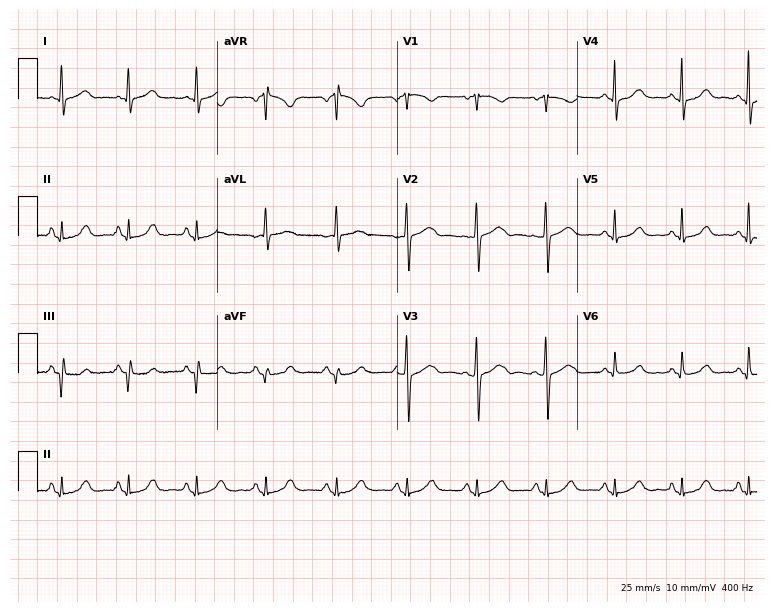
12-lead ECG (7.3-second recording at 400 Hz) from a 57-year-old female. Labelled as a normal ECG.